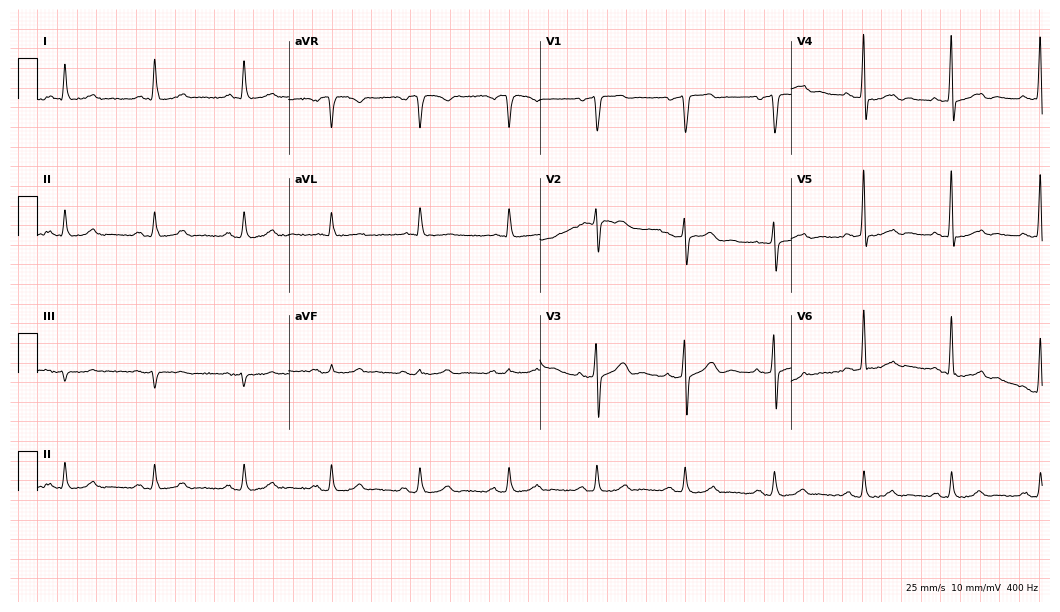
12-lead ECG (10.2-second recording at 400 Hz) from a man, 69 years old. Labelled as a normal ECG.